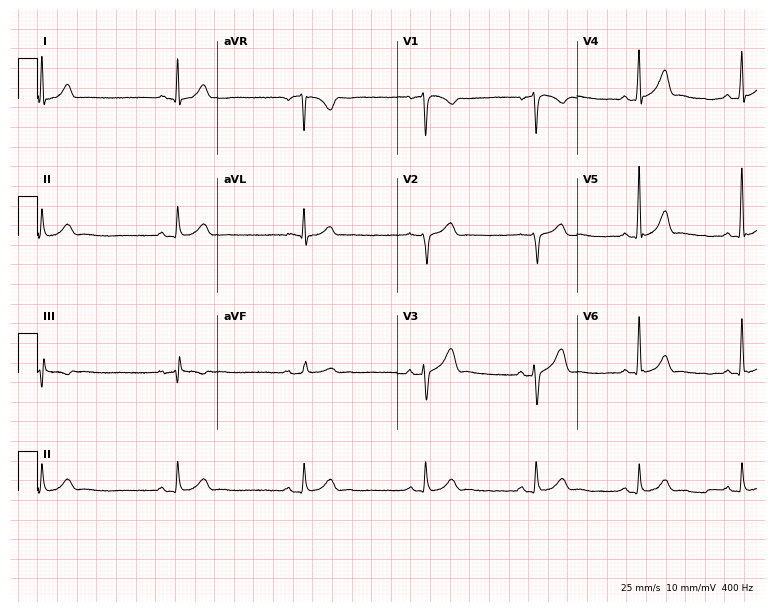
Standard 12-lead ECG recorded from a male, 40 years old (7.3-second recording at 400 Hz). None of these six findings is recorded: first-degree AV block, right bundle branch block, left bundle branch block, sinus bradycardia, atrial fibrillation, sinus tachycardia.